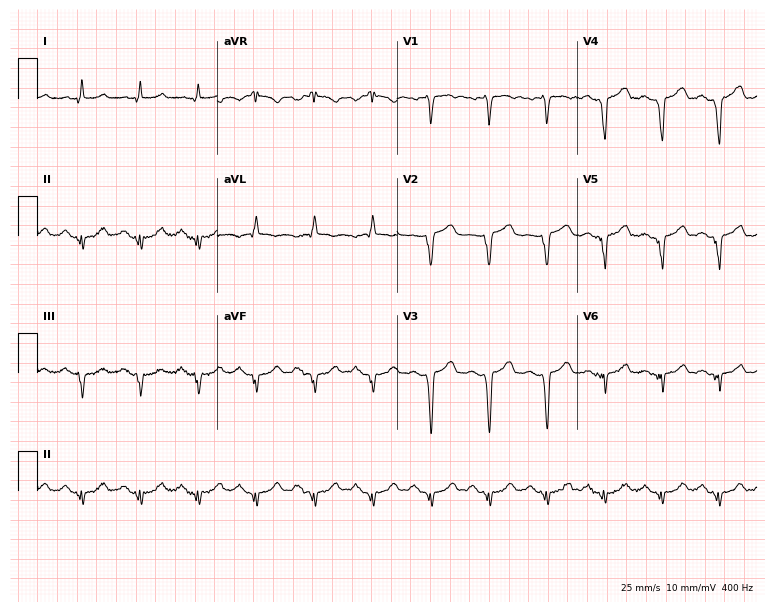
Standard 12-lead ECG recorded from a 61-year-old male. The tracing shows sinus tachycardia (a sinus rate of 100 beats per minute or more).